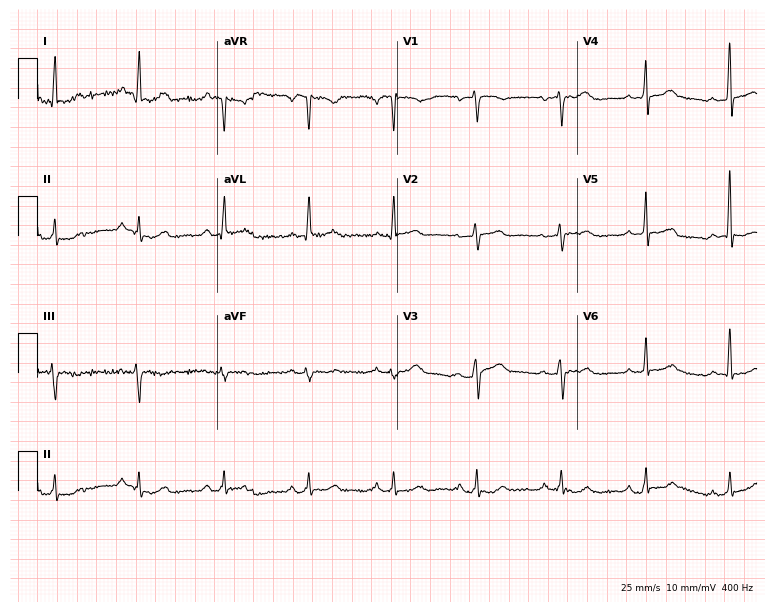
Standard 12-lead ECG recorded from a female, 57 years old (7.3-second recording at 400 Hz). None of these six findings is recorded: first-degree AV block, right bundle branch block, left bundle branch block, sinus bradycardia, atrial fibrillation, sinus tachycardia. Other findings, if any, are not listed.